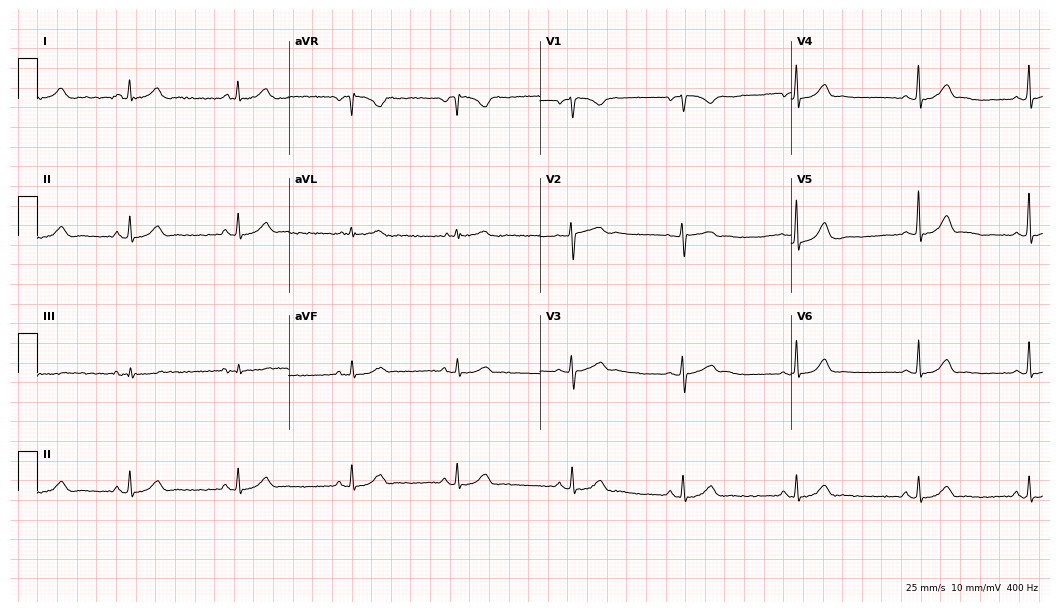
Resting 12-lead electrocardiogram (10.2-second recording at 400 Hz). Patient: a 39-year-old woman. Read as a normal ECG.